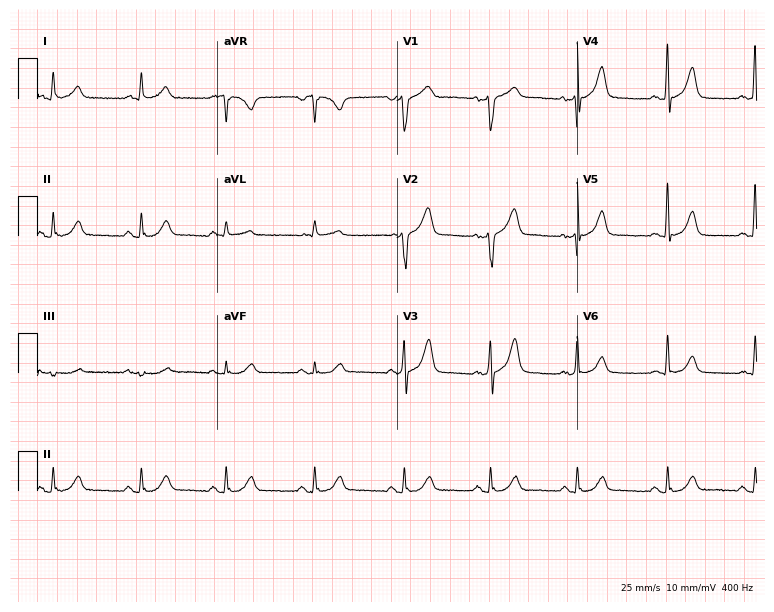
ECG — a 67-year-old male patient. Labelled as a normal ECG.